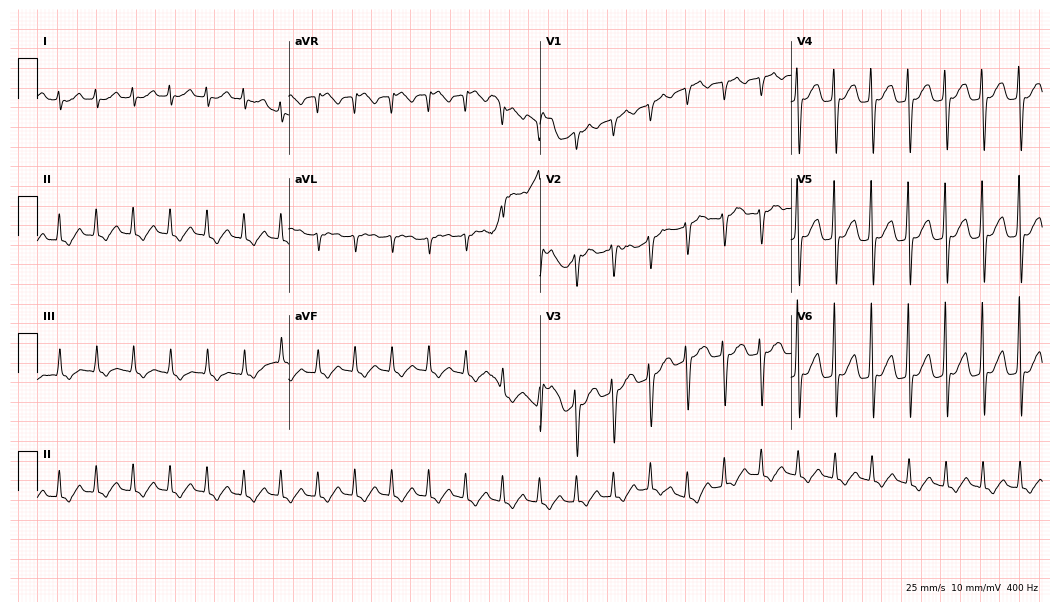
12-lead ECG from a female, 50 years old. Findings include sinus tachycardia (a sinus rate of 100 beats per minute or more).